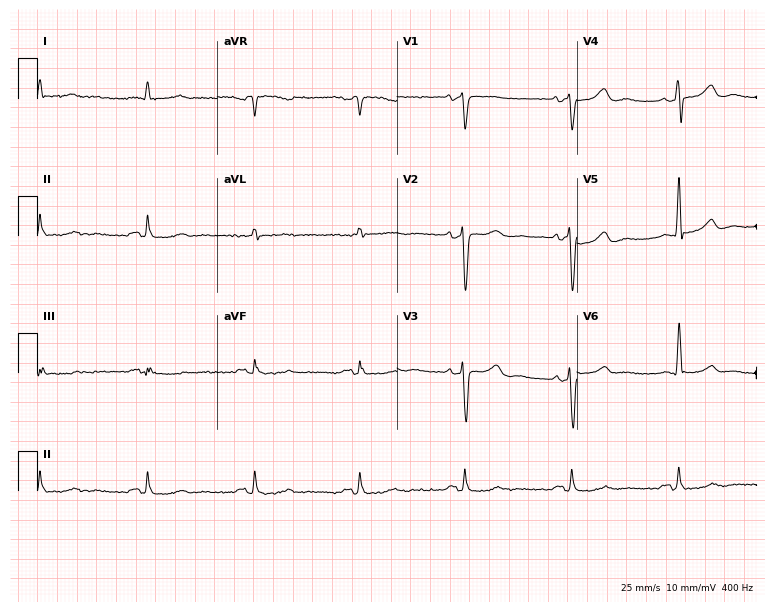
12-lead ECG from a 71-year-old man (7.3-second recording at 400 Hz). No first-degree AV block, right bundle branch block, left bundle branch block, sinus bradycardia, atrial fibrillation or sinus tachycardia recorded for this tracing.